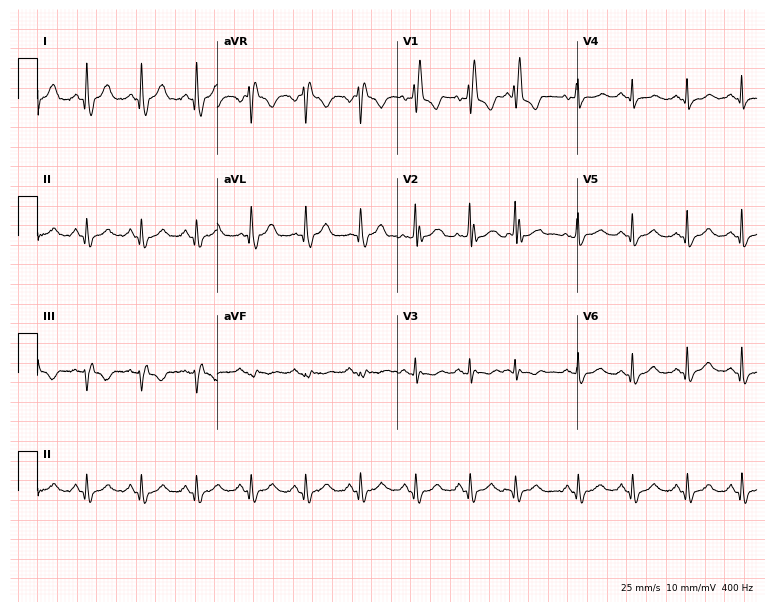
12-lead ECG from a female patient, 82 years old. Findings include right bundle branch block, sinus tachycardia (a sinus rate of 100 beats per minute or more).